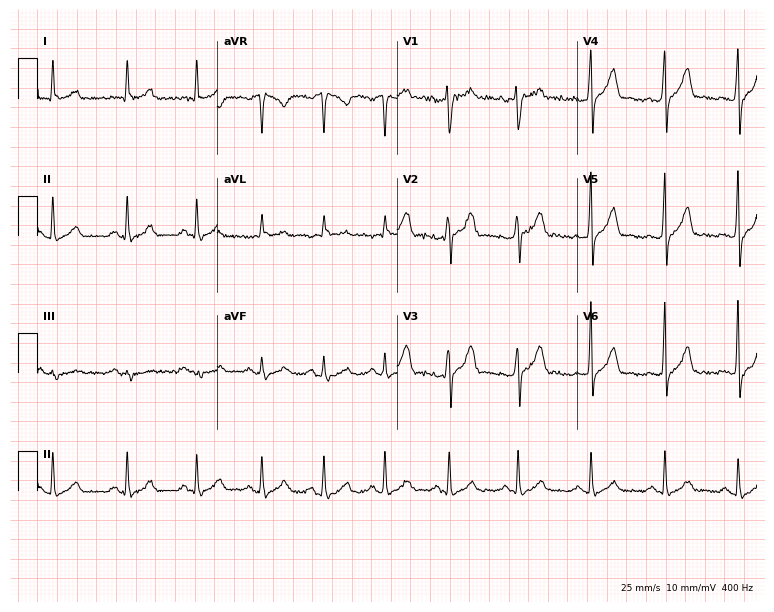
Standard 12-lead ECG recorded from a man, 31 years old (7.3-second recording at 400 Hz). Read as a normal ECG.